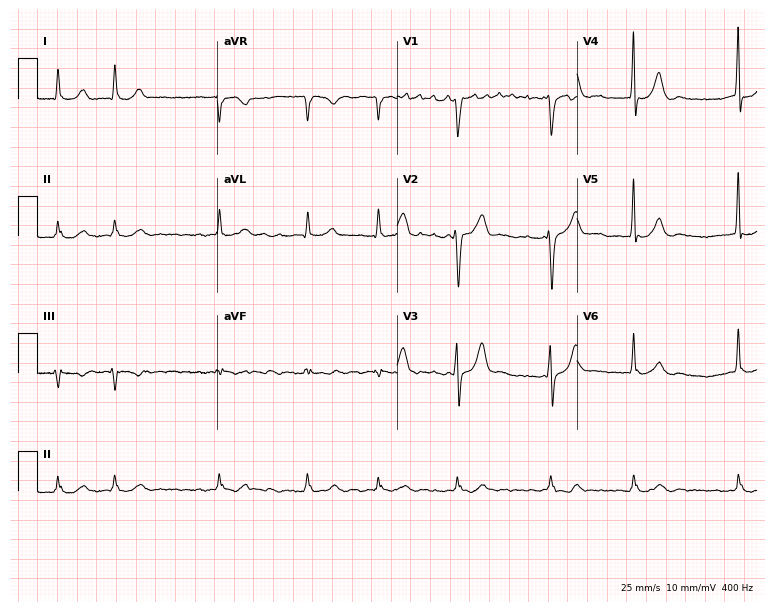
12-lead ECG from a man, 70 years old. Findings include atrial fibrillation.